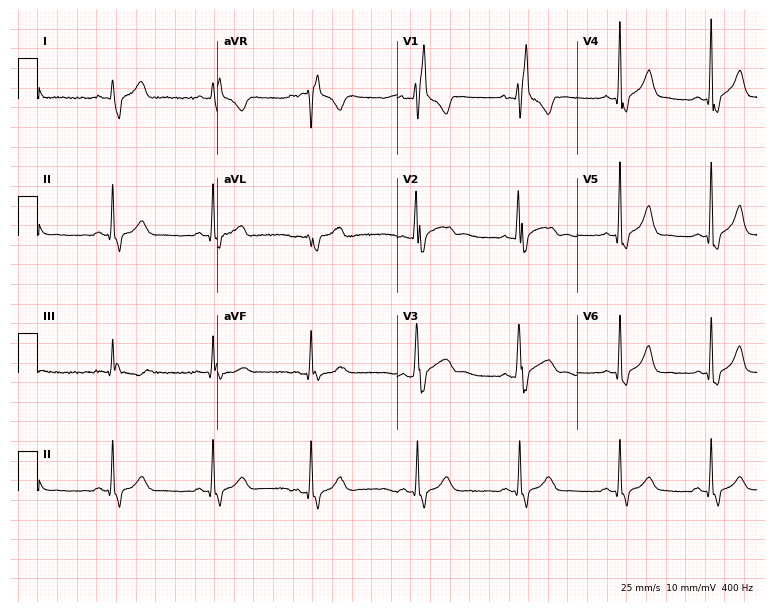
Resting 12-lead electrocardiogram (7.3-second recording at 400 Hz). Patient: a man, 18 years old. The tracing shows right bundle branch block (RBBB).